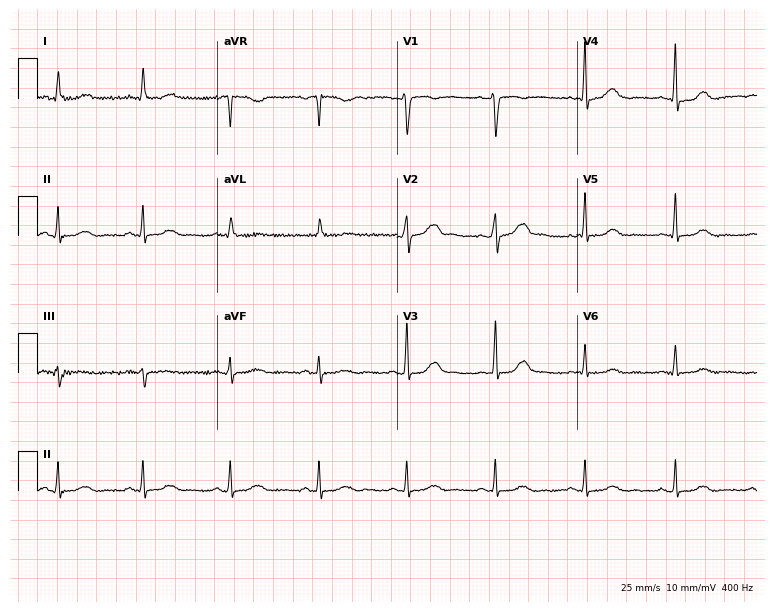
ECG — a 53-year-old female patient. Screened for six findings — first-degree AV block, right bundle branch block (RBBB), left bundle branch block (LBBB), sinus bradycardia, atrial fibrillation (AF), sinus tachycardia — none is recorded. Only these six findings were labelled.